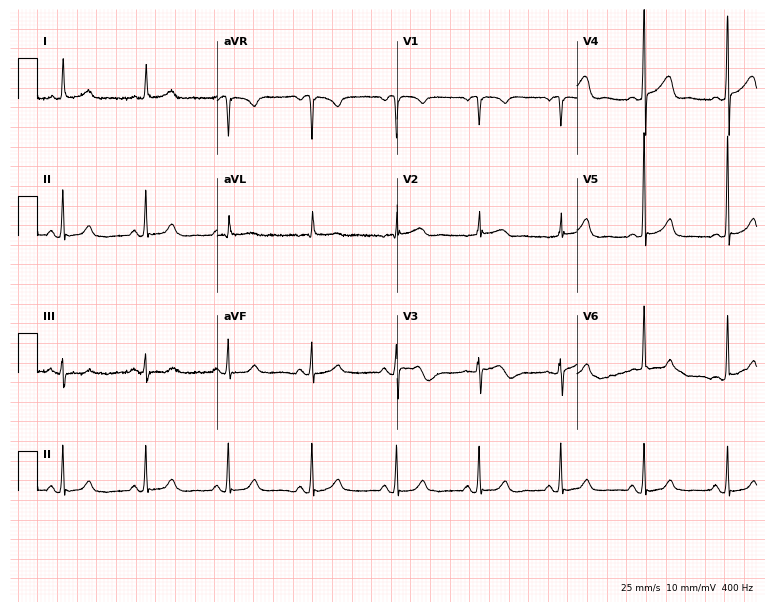
Standard 12-lead ECG recorded from a female, 77 years old (7.3-second recording at 400 Hz). Read as a normal ECG.